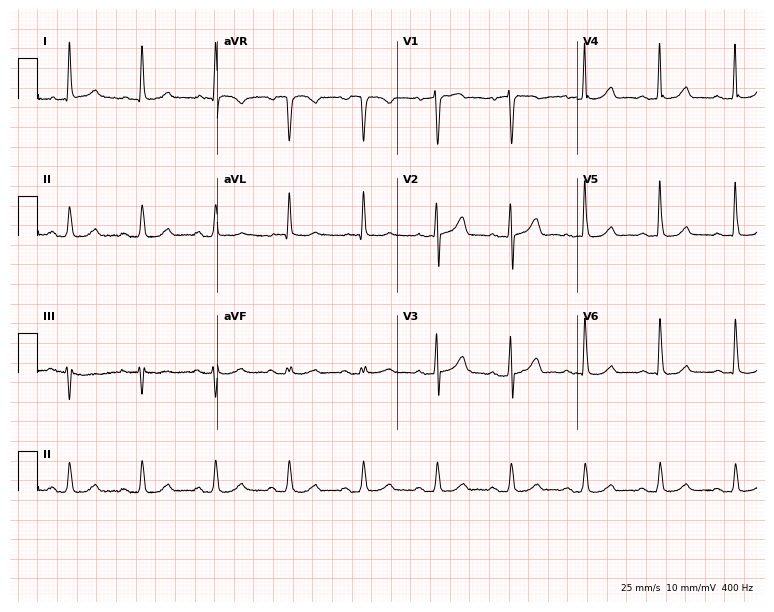
Electrocardiogram (7.3-second recording at 400 Hz), a 60-year-old female patient. Overall reading on record: normal ECG.